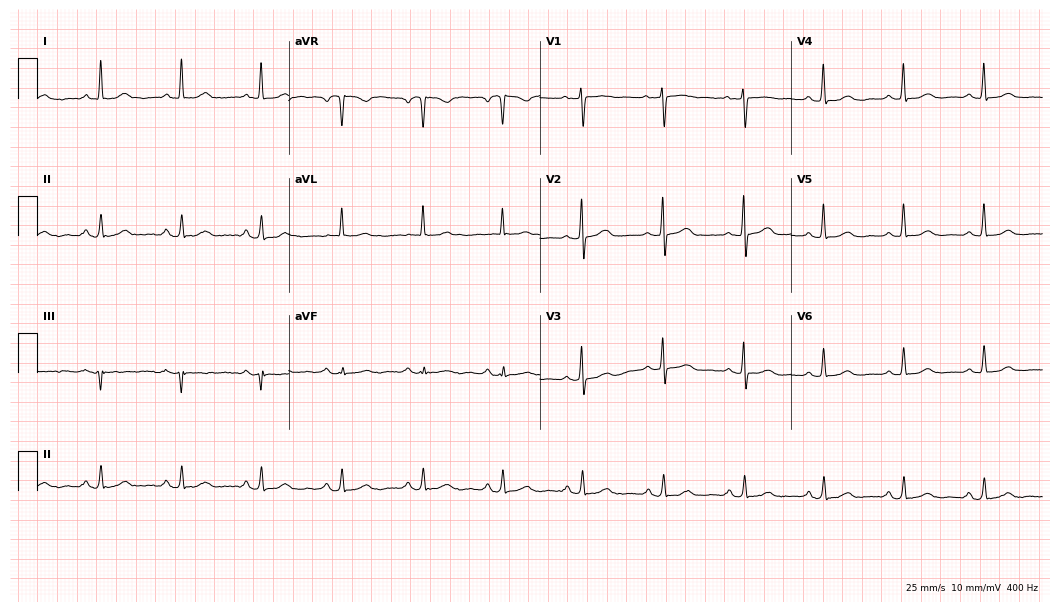
Standard 12-lead ECG recorded from a 68-year-old female. None of these six findings is recorded: first-degree AV block, right bundle branch block, left bundle branch block, sinus bradycardia, atrial fibrillation, sinus tachycardia. Only these six findings were labelled.